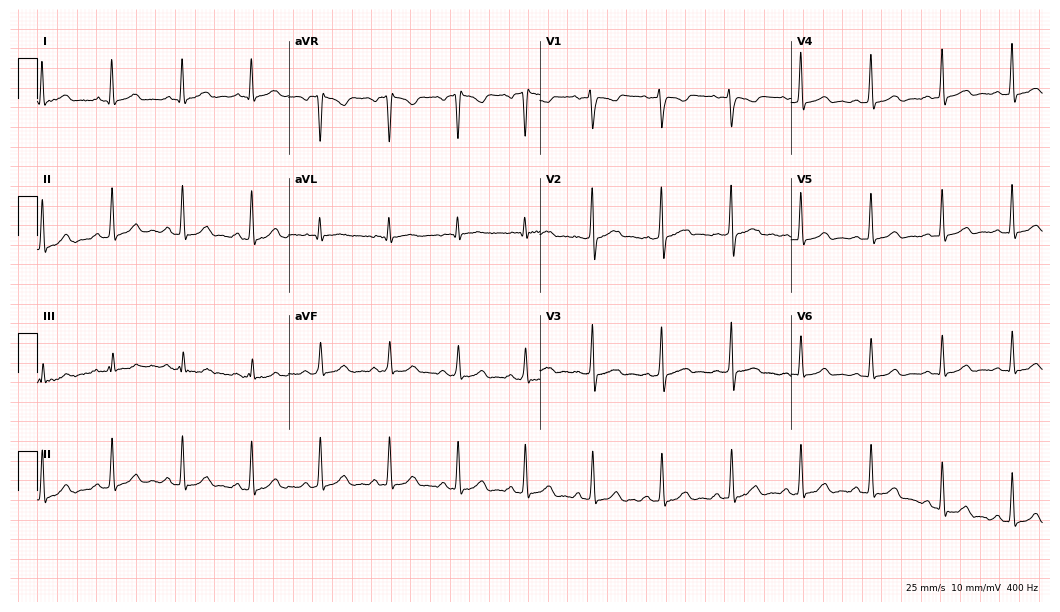
12-lead ECG from a 28-year-old woman. Recorded interpretation: within normal limits.